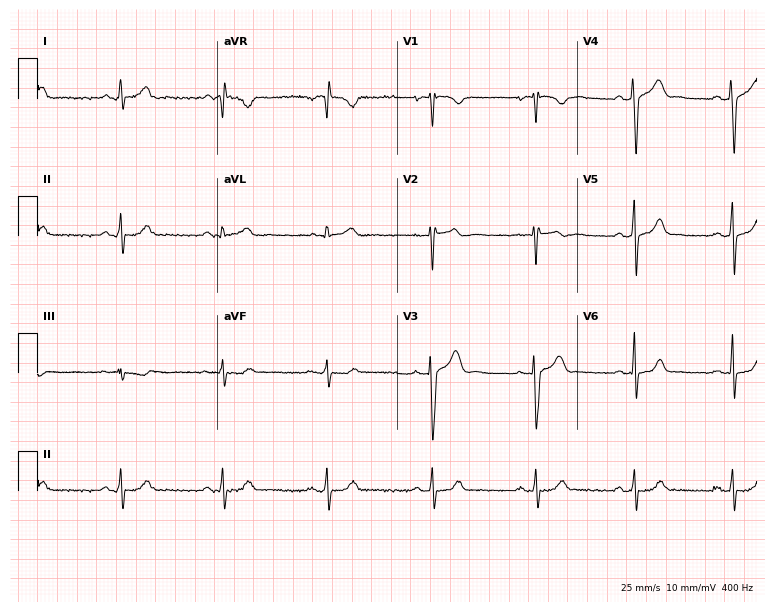
Electrocardiogram, a 26-year-old male. Of the six screened findings (first-degree AV block, right bundle branch block, left bundle branch block, sinus bradycardia, atrial fibrillation, sinus tachycardia), none is recorded.